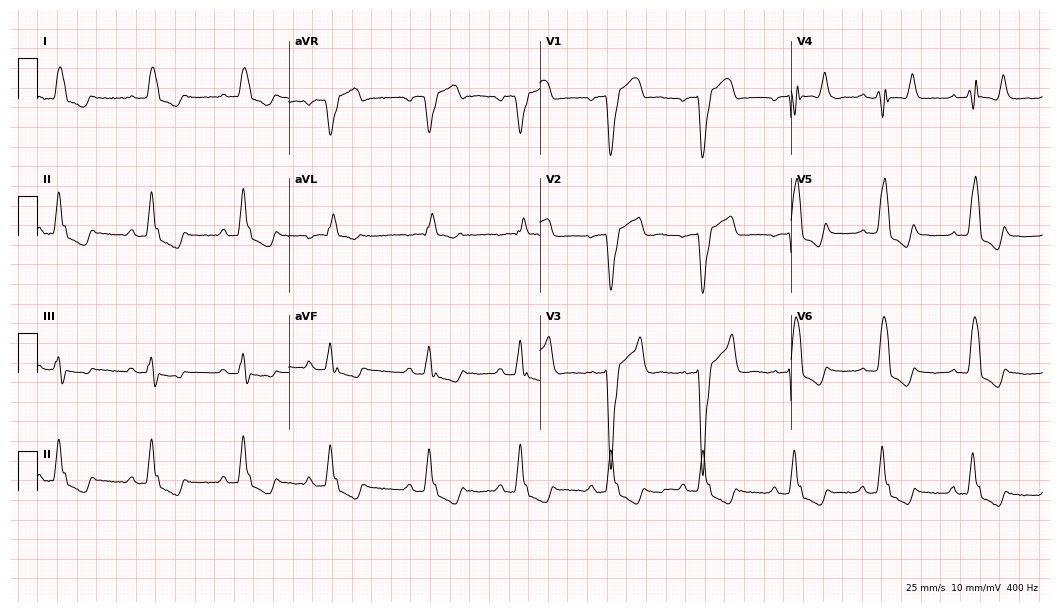
Electrocardiogram (10.2-second recording at 400 Hz), a male patient, 76 years old. Of the six screened findings (first-degree AV block, right bundle branch block (RBBB), left bundle branch block (LBBB), sinus bradycardia, atrial fibrillation (AF), sinus tachycardia), none is recorded. Only these six findings were labelled.